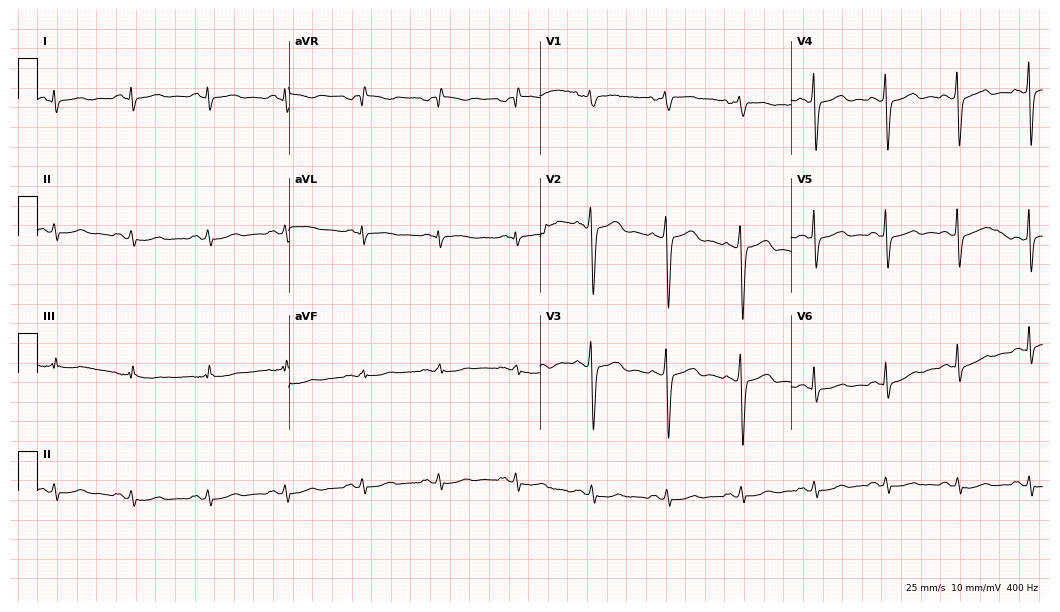
ECG — a 63-year-old male. Screened for six findings — first-degree AV block, right bundle branch block, left bundle branch block, sinus bradycardia, atrial fibrillation, sinus tachycardia — none is recorded. Other findings, if any, are not listed.